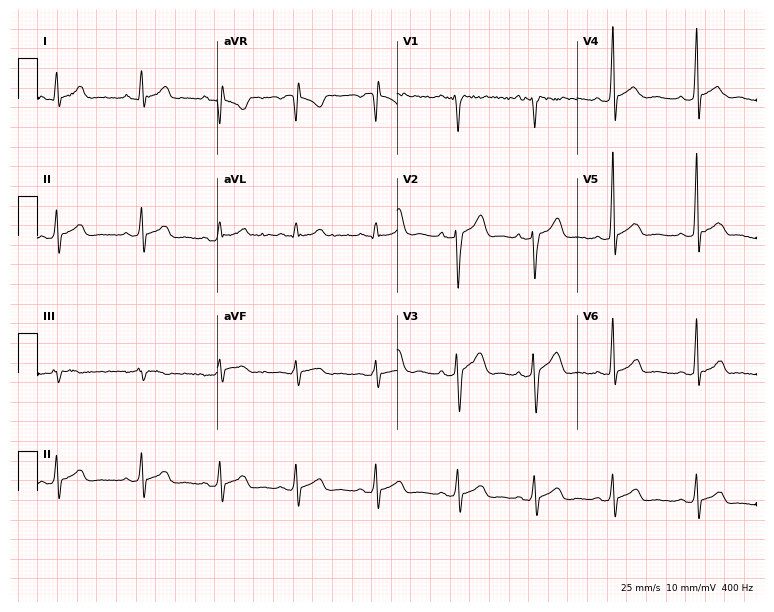
Standard 12-lead ECG recorded from a 17-year-old man (7.3-second recording at 400 Hz). None of these six findings is recorded: first-degree AV block, right bundle branch block, left bundle branch block, sinus bradycardia, atrial fibrillation, sinus tachycardia.